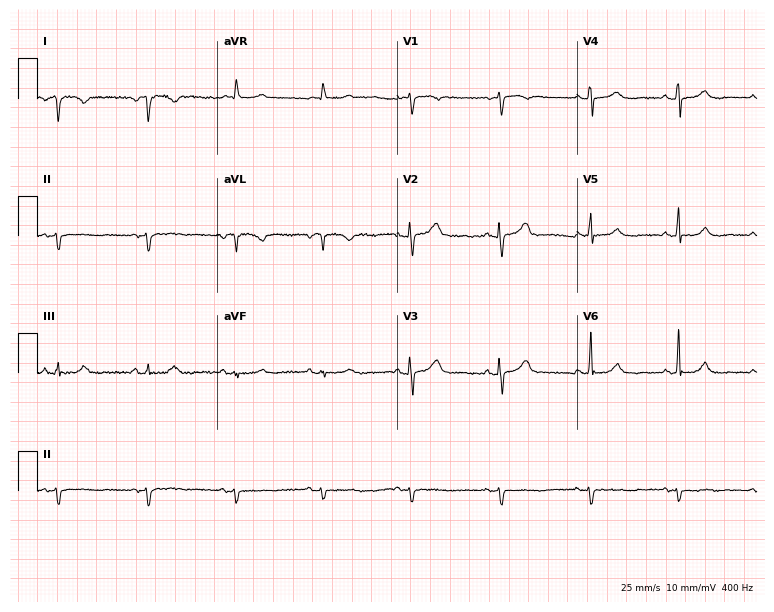
Electrocardiogram (7.3-second recording at 400 Hz), a woman, 74 years old. Overall reading on record: normal ECG.